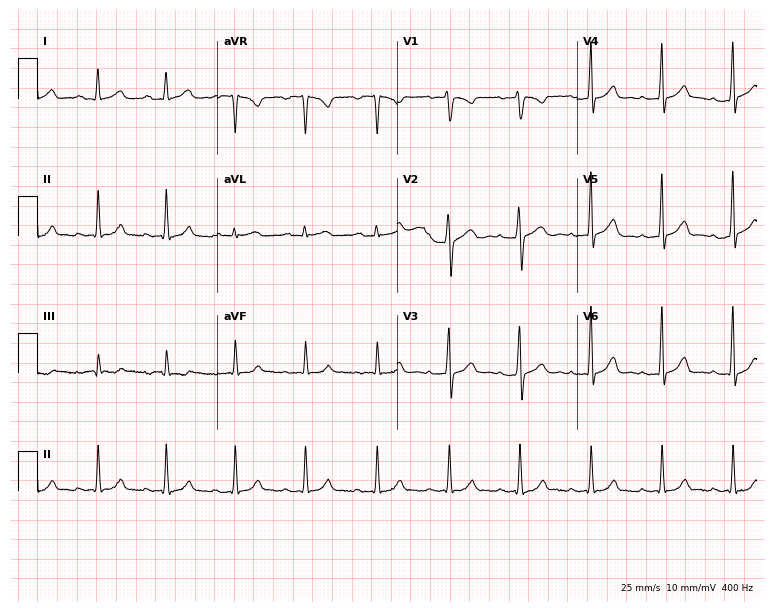
12-lead ECG from a woman, 33 years old. Labelled as a normal ECG.